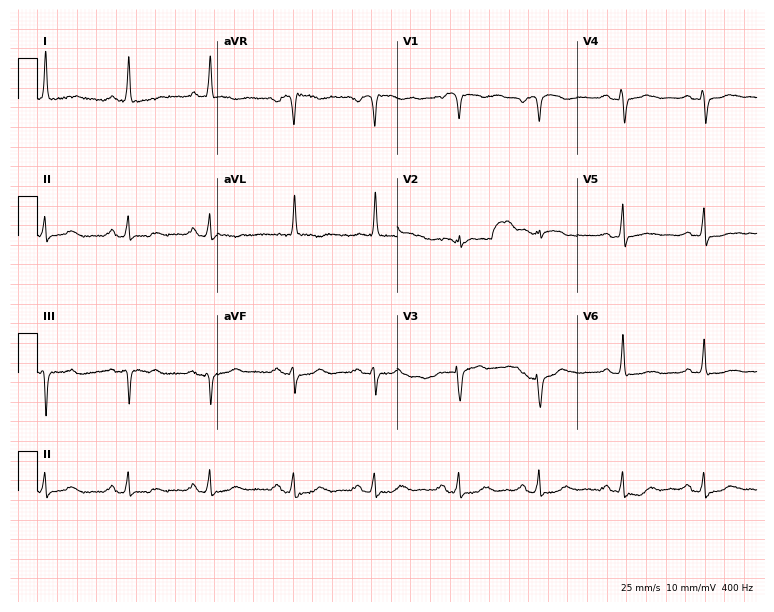
Standard 12-lead ECG recorded from a female, 69 years old. None of these six findings is recorded: first-degree AV block, right bundle branch block, left bundle branch block, sinus bradycardia, atrial fibrillation, sinus tachycardia. Findings outside these six are not listed.